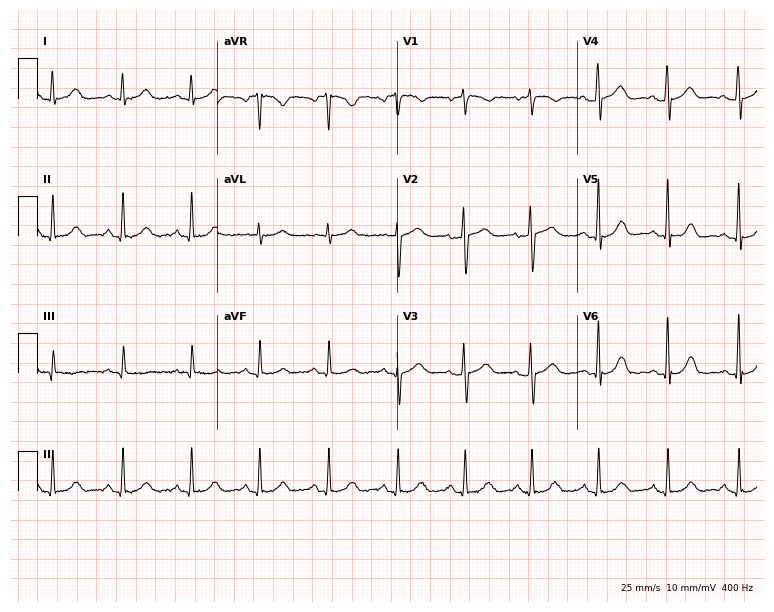
Standard 12-lead ECG recorded from a female, 55 years old (7.3-second recording at 400 Hz). None of these six findings is recorded: first-degree AV block, right bundle branch block, left bundle branch block, sinus bradycardia, atrial fibrillation, sinus tachycardia. Findings outside these six are not listed.